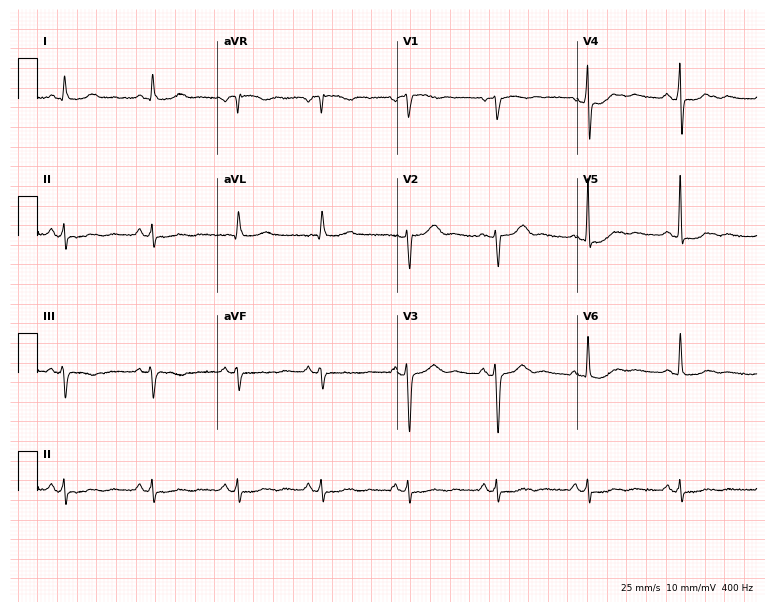
12-lead ECG from a male, 66 years old. Labelled as a normal ECG.